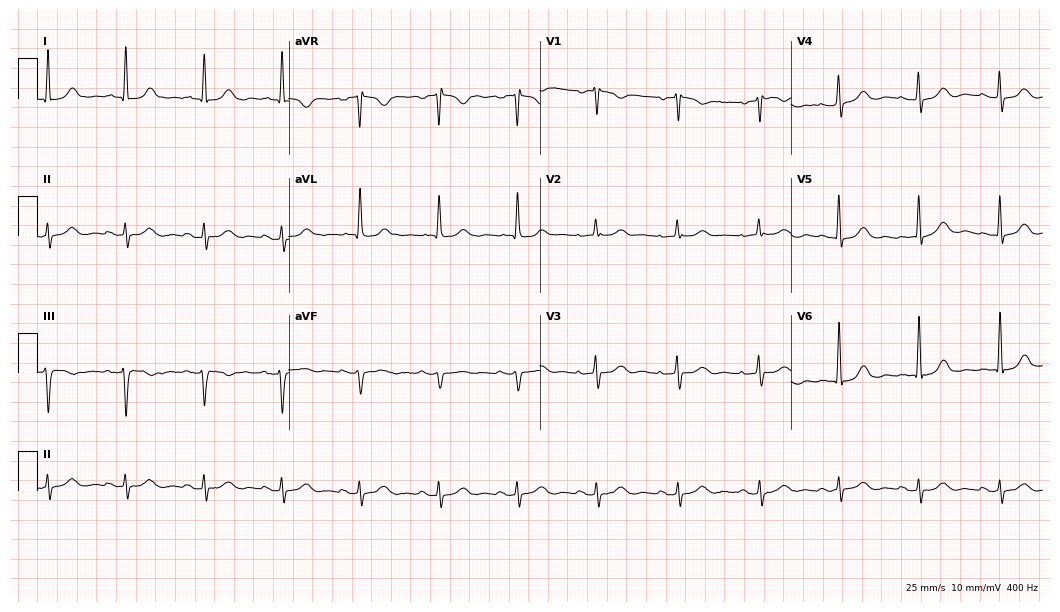
Resting 12-lead electrocardiogram (10.2-second recording at 400 Hz). Patient: a 78-year-old woman. Read as a normal ECG.